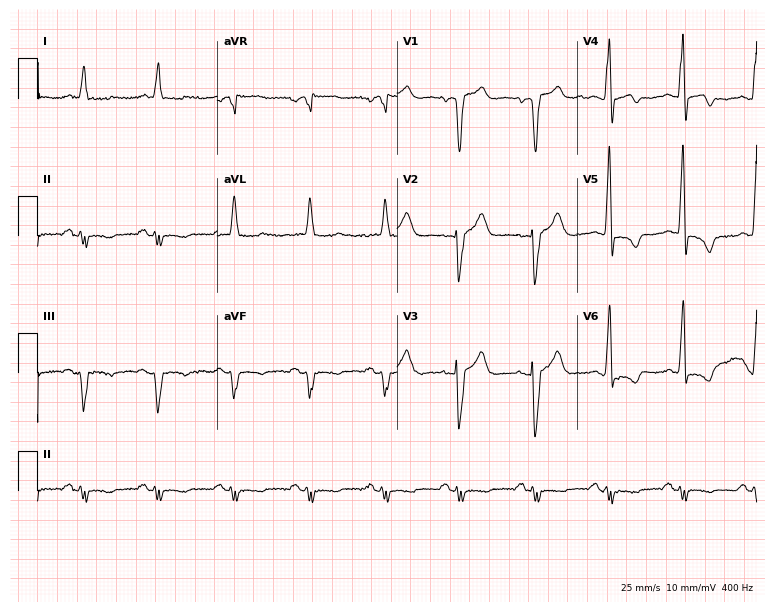
12-lead ECG from an 82-year-old male patient. Screened for six findings — first-degree AV block, right bundle branch block (RBBB), left bundle branch block (LBBB), sinus bradycardia, atrial fibrillation (AF), sinus tachycardia — none is recorded.